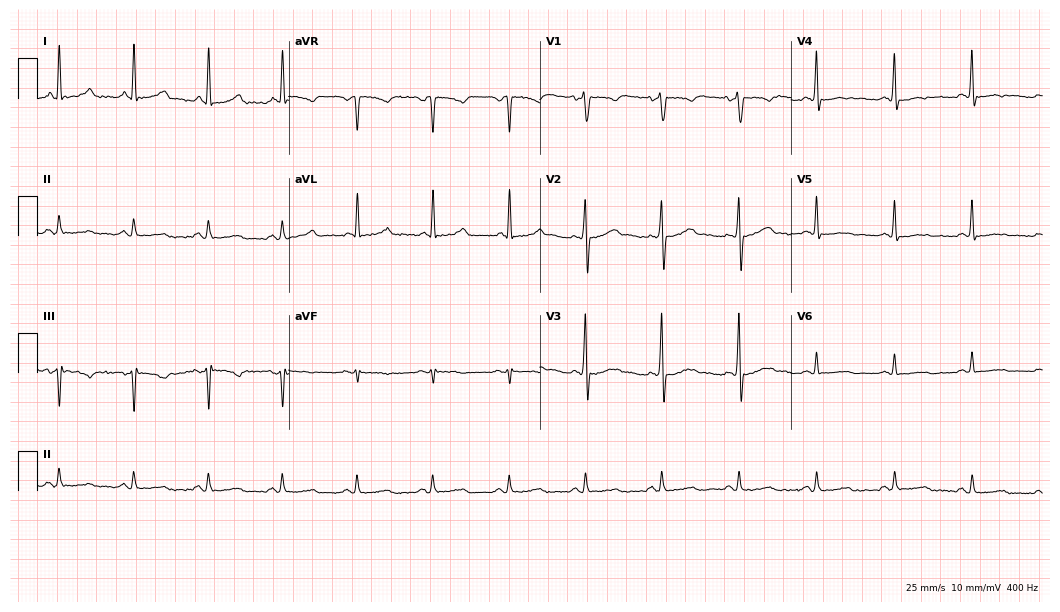
ECG — a male patient, 48 years old. Screened for six findings — first-degree AV block, right bundle branch block, left bundle branch block, sinus bradycardia, atrial fibrillation, sinus tachycardia — none is recorded.